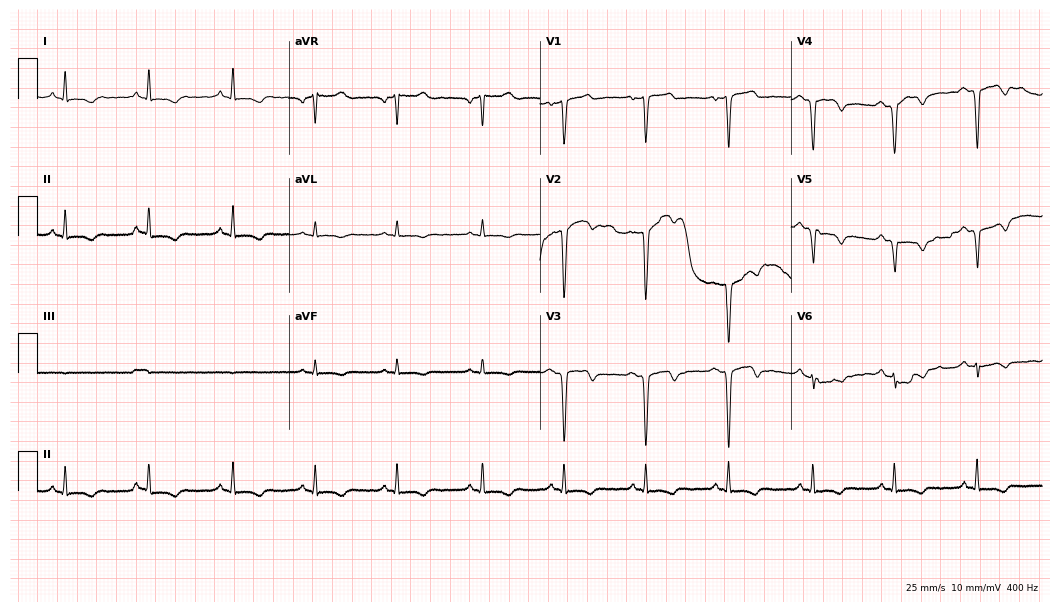
Standard 12-lead ECG recorded from a male, 59 years old. None of these six findings is recorded: first-degree AV block, right bundle branch block, left bundle branch block, sinus bradycardia, atrial fibrillation, sinus tachycardia.